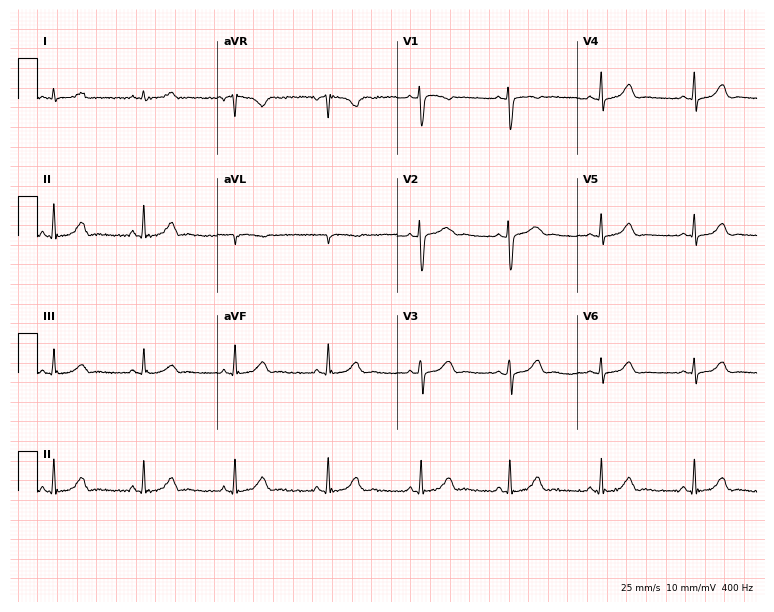
12-lead ECG from a woman, 37 years old. No first-degree AV block, right bundle branch block (RBBB), left bundle branch block (LBBB), sinus bradycardia, atrial fibrillation (AF) or sinus tachycardia recorded for this tracing.